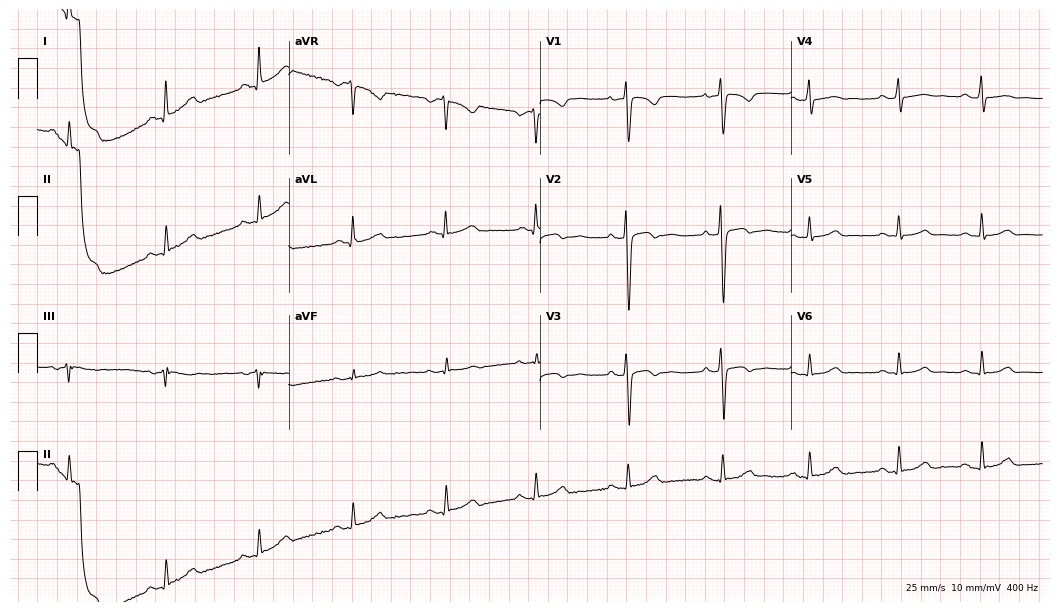
12-lead ECG (10.2-second recording at 400 Hz) from a woman, 23 years old. Labelled as a normal ECG.